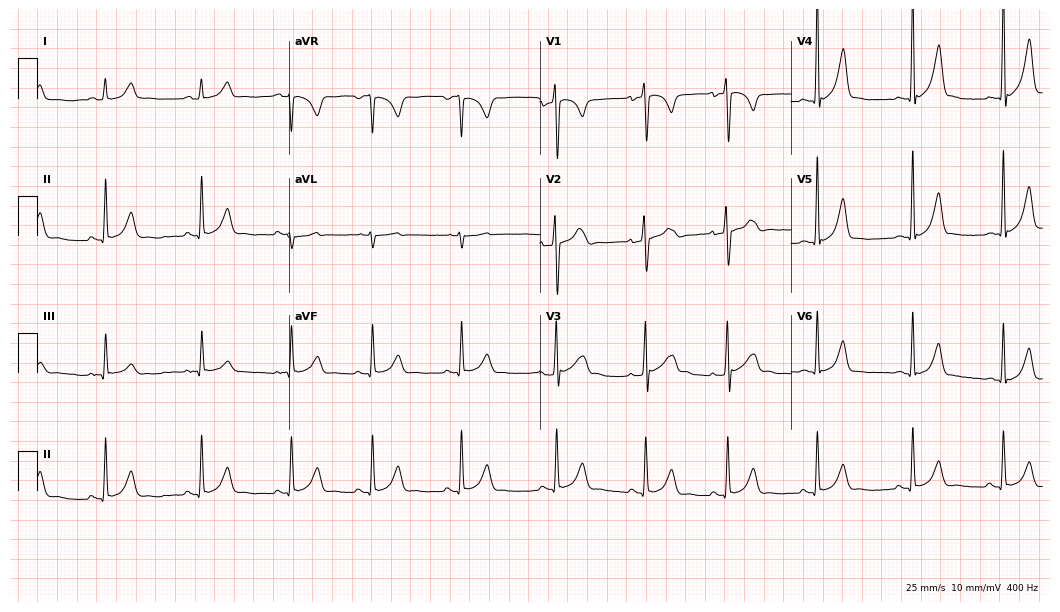
Electrocardiogram, a male, 17 years old. Overall reading on record: normal ECG.